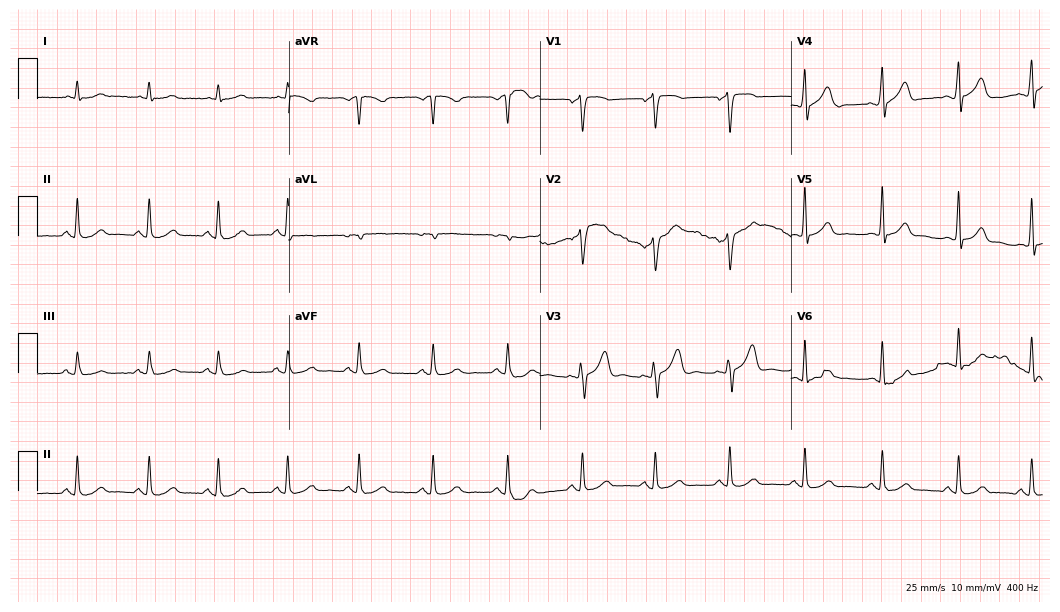
Standard 12-lead ECG recorded from a male patient, 70 years old (10.2-second recording at 400 Hz). Read as a normal ECG.